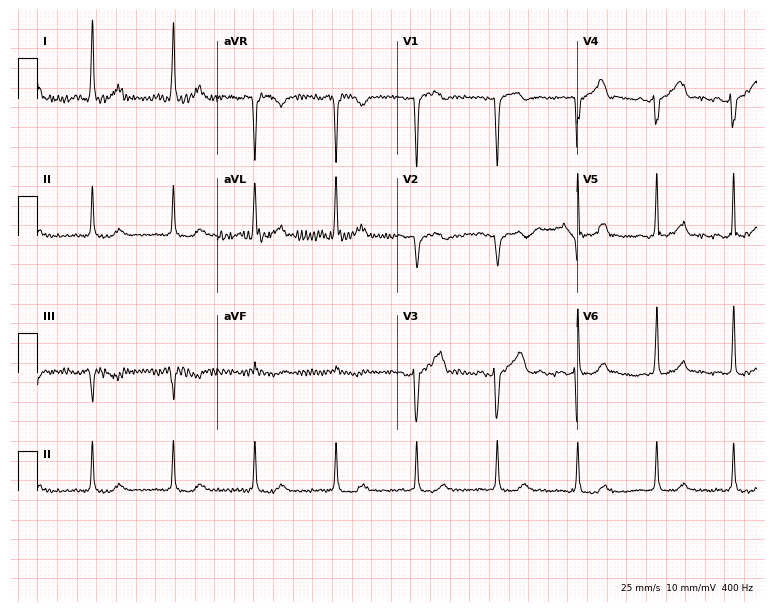
Electrocardiogram, a 58-year-old female patient. Of the six screened findings (first-degree AV block, right bundle branch block (RBBB), left bundle branch block (LBBB), sinus bradycardia, atrial fibrillation (AF), sinus tachycardia), none is recorded.